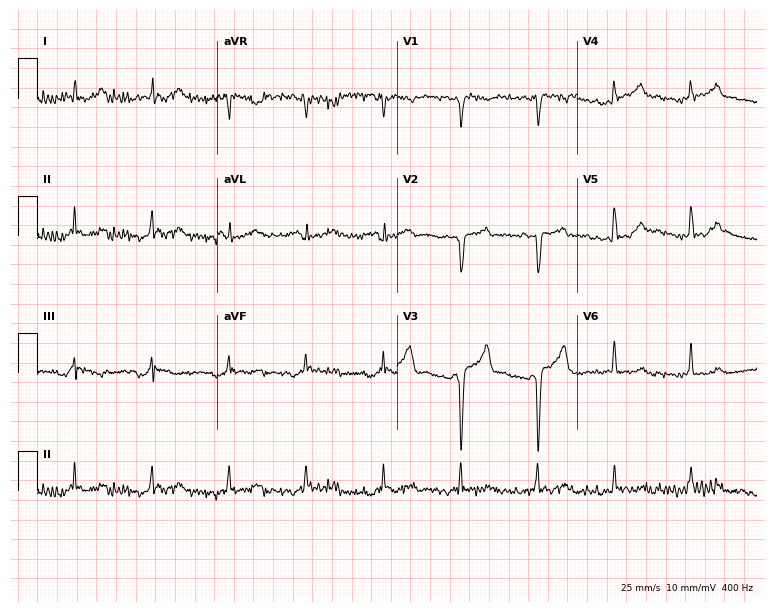
12-lead ECG from a 35-year-old male patient (7.3-second recording at 400 Hz). No first-degree AV block, right bundle branch block (RBBB), left bundle branch block (LBBB), sinus bradycardia, atrial fibrillation (AF) or sinus tachycardia recorded for this tracing. Only these six findings were labelled.